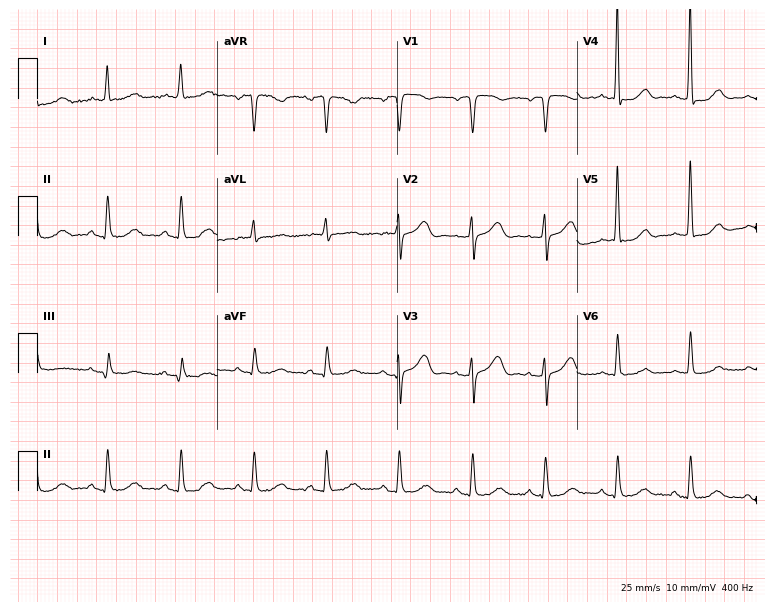
Standard 12-lead ECG recorded from a woman, 85 years old. None of these six findings is recorded: first-degree AV block, right bundle branch block, left bundle branch block, sinus bradycardia, atrial fibrillation, sinus tachycardia. Findings outside these six are not listed.